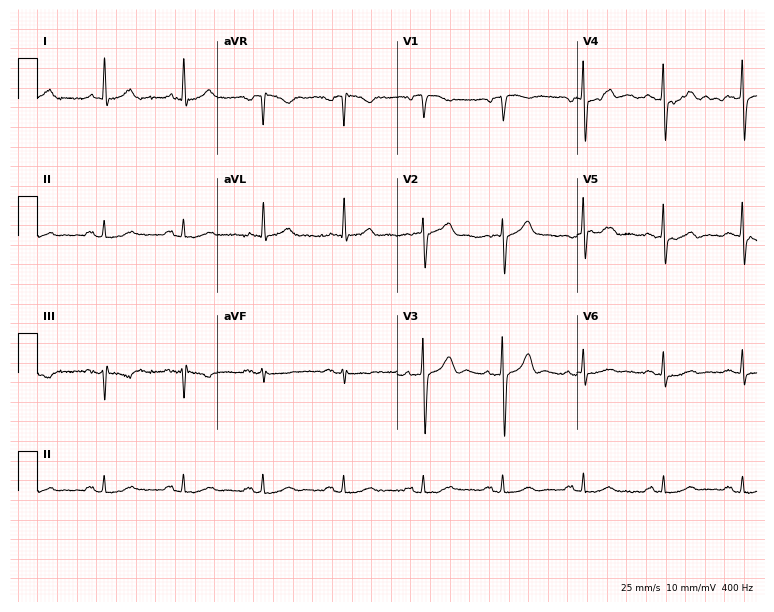
Resting 12-lead electrocardiogram. Patient: an 84-year-old male. Read as a normal ECG.